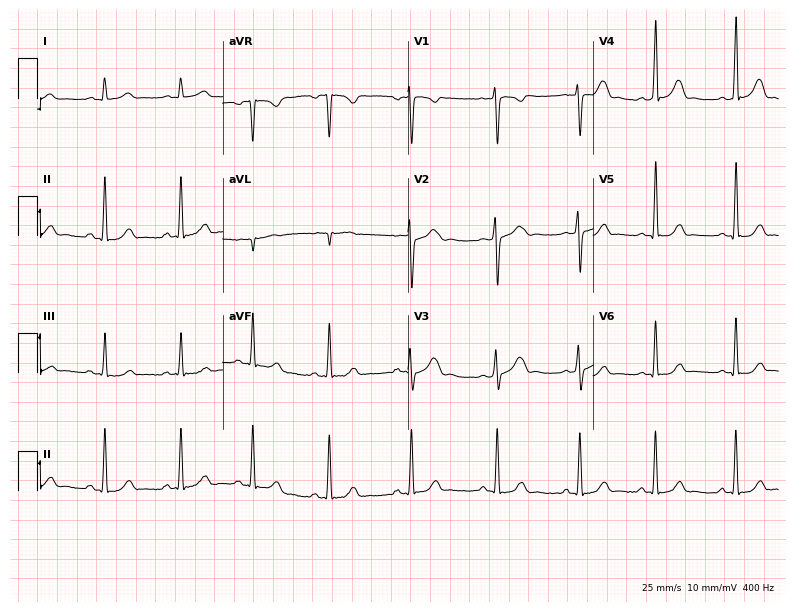
12-lead ECG from a 25-year-old female patient (7.6-second recording at 400 Hz). Recorded interpretation: within normal limits.